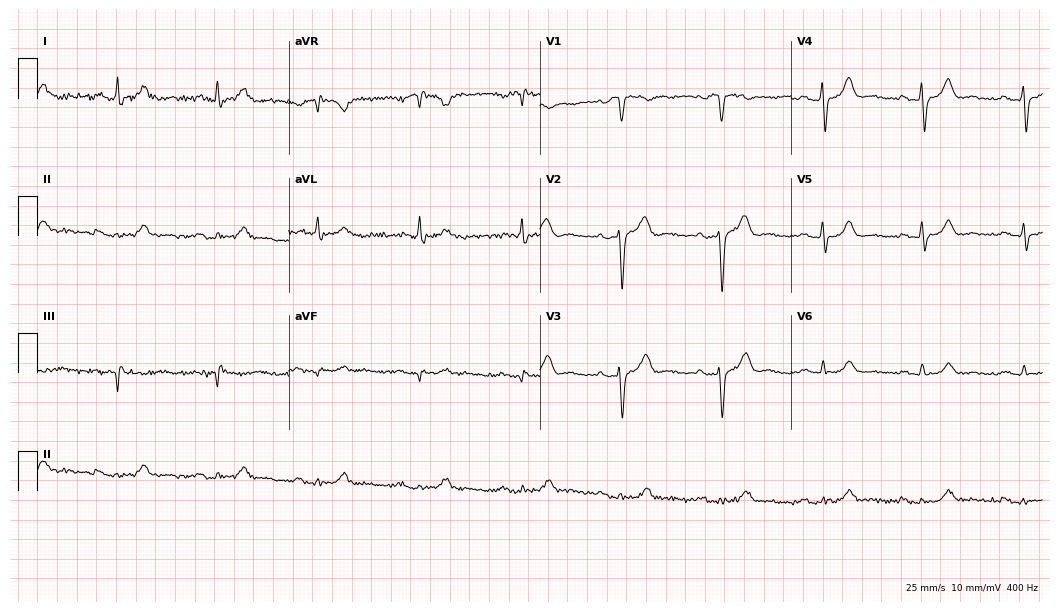
Resting 12-lead electrocardiogram. Patient: a female, 63 years old. The tracing shows first-degree AV block.